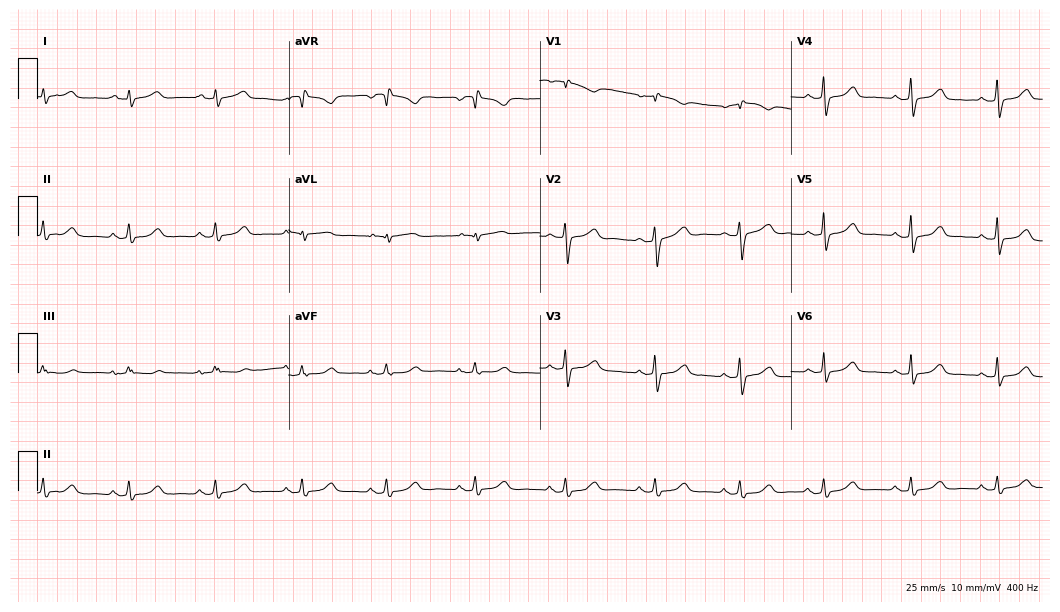
Electrocardiogram (10.2-second recording at 400 Hz), a woman, 44 years old. Of the six screened findings (first-degree AV block, right bundle branch block, left bundle branch block, sinus bradycardia, atrial fibrillation, sinus tachycardia), none is recorded.